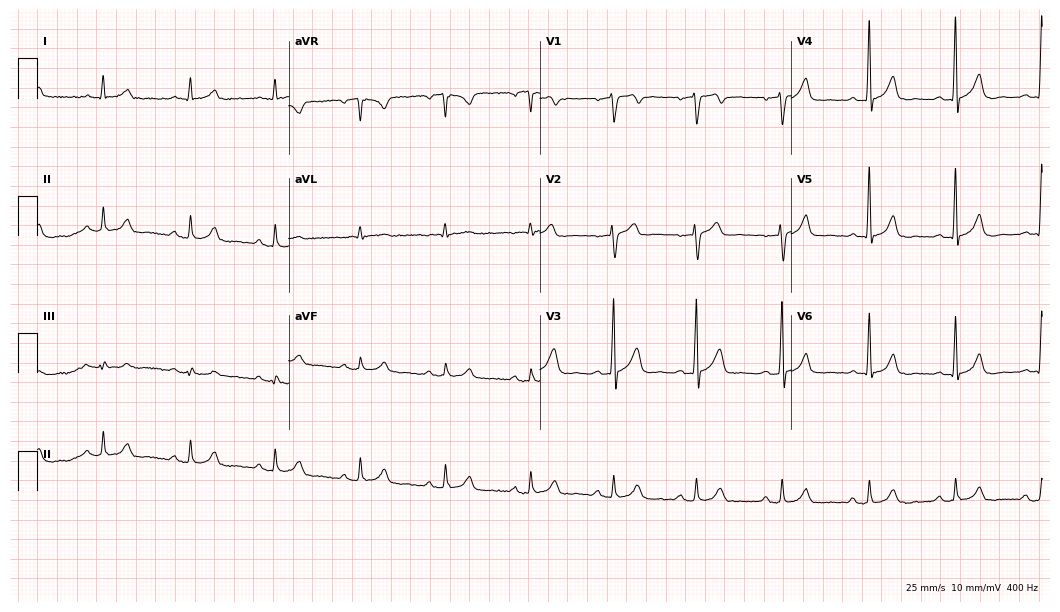
12-lead ECG (10.2-second recording at 400 Hz) from a man, 52 years old. Labelled as a normal ECG.